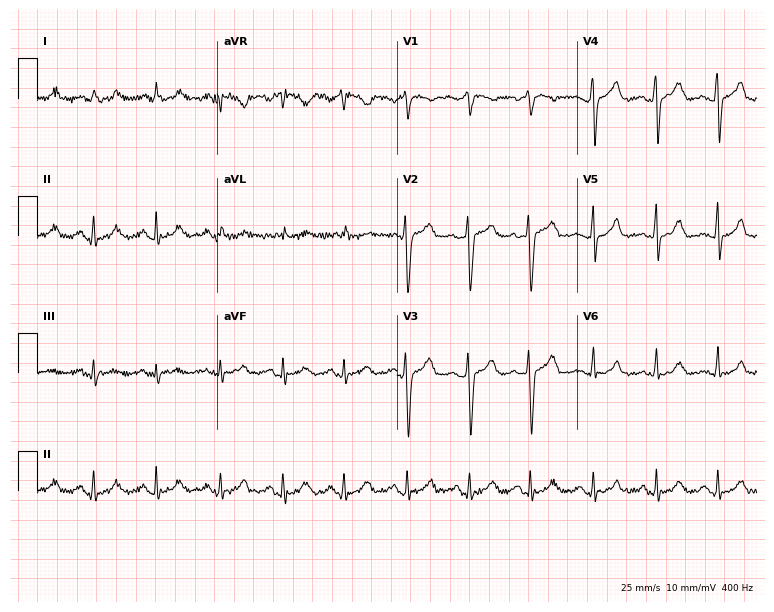
Electrocardiogram (7.3-second recording at 400 Hz), a 21-year-old woman. Overall reading on record: normal ECG.